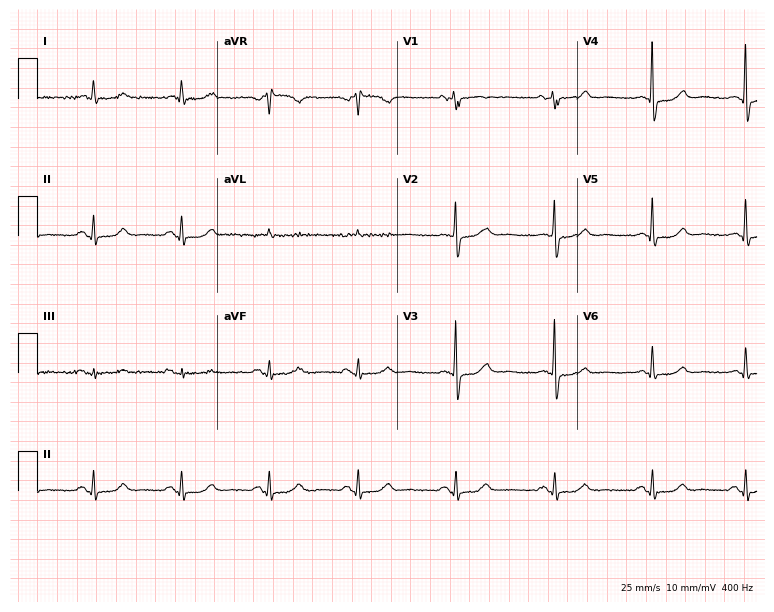
Electrocardiogram (7.3-second recording at 400 Hz), a woman, 64 years old. Of the six screened findings (first-degree AV block, right bundle branch block, left bundle branch block, sinus bradycardia, atrial fibrillation, sinus tachycardia), none is recorded.